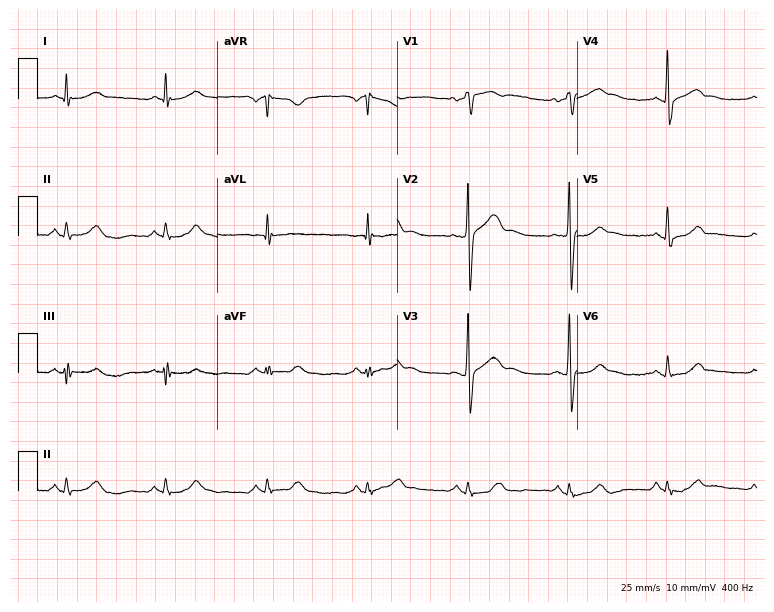
Electrocardiogram (7.3-second recording at 400 Hz), a male patient, 60 years old. Overall reading on record: normal ECG.